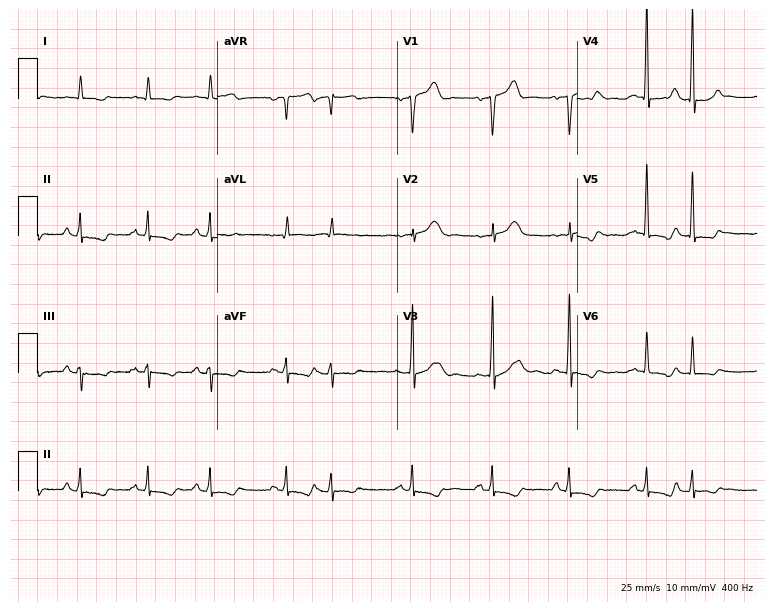
Electrocardiogram (7.3-second recording at 400 Hz), a 76-year-old male. Of the six screened findings (first-degree AV block, right bundle branch block, left bundle branch block, sinus bradycardia, atrial fibrillation, sinus tachycardia), none is recorded. Findings outside these six are not listed.